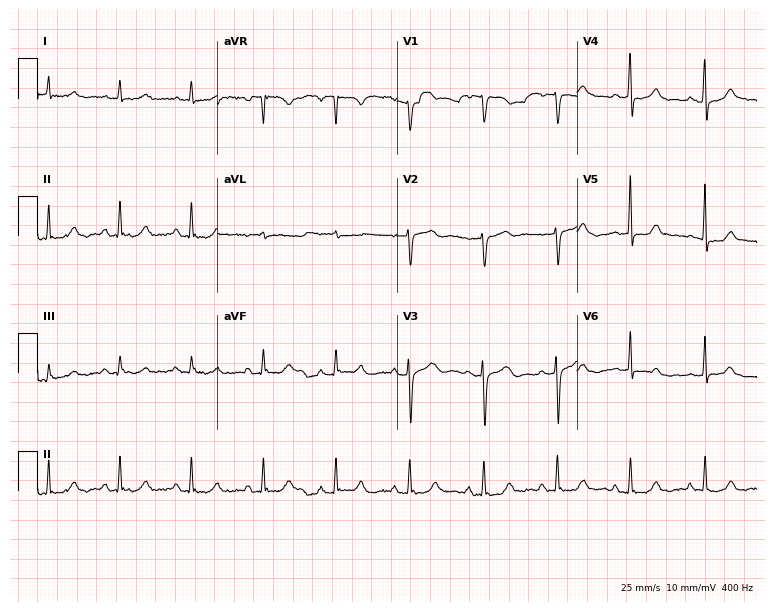
Standard 12-lead ECG recorded from a 70-year-old woman (7.3-second recording at 400 Hz). Read as a normal ECG.